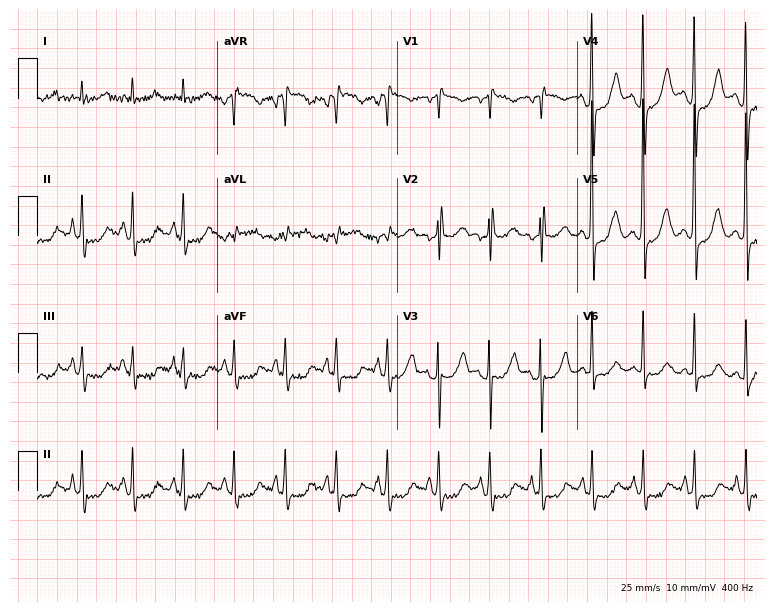
ECG — a female patient, 63 years old. Findings include sinus tachycardia (a sinus rate of 100 beats per minute or more).